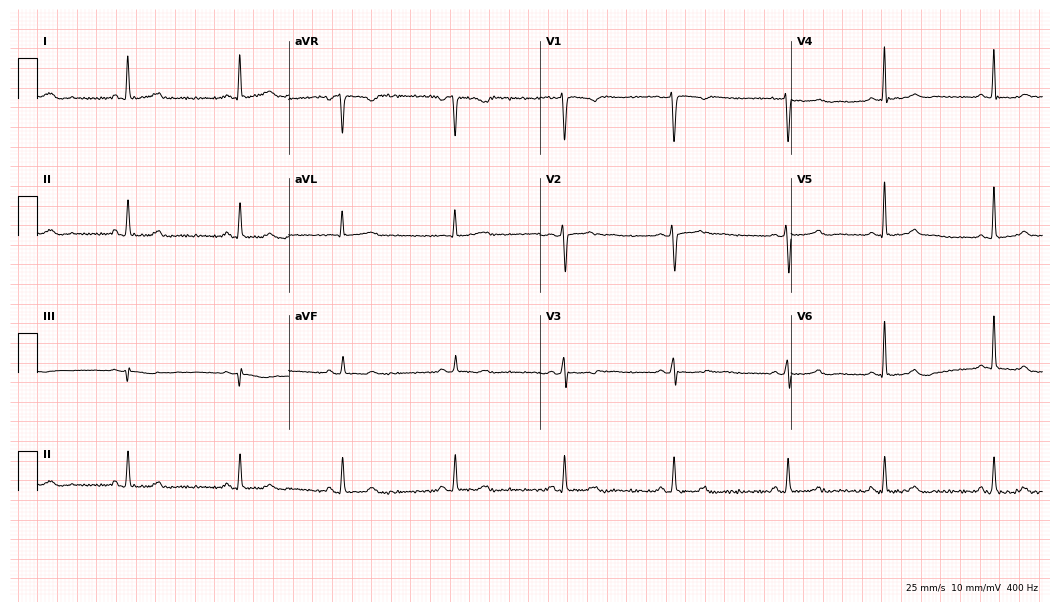
ECG (10.2-second recording at 400 Hz) — a female, 34 years old. Labelled as a normal ECG.